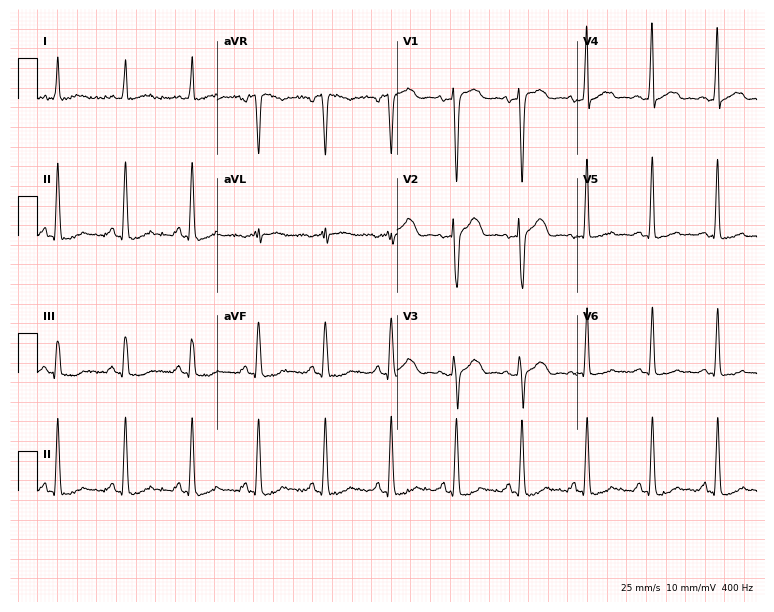
12-lead ECG from a woman, 45 years old. Screened for six findings — first-degree AV block, right bundle branch block, left bundle branch block, sinus bradycardia, atrial fibrillation, sinus tachycardia — none is recorded. Only these six findings were labelled.